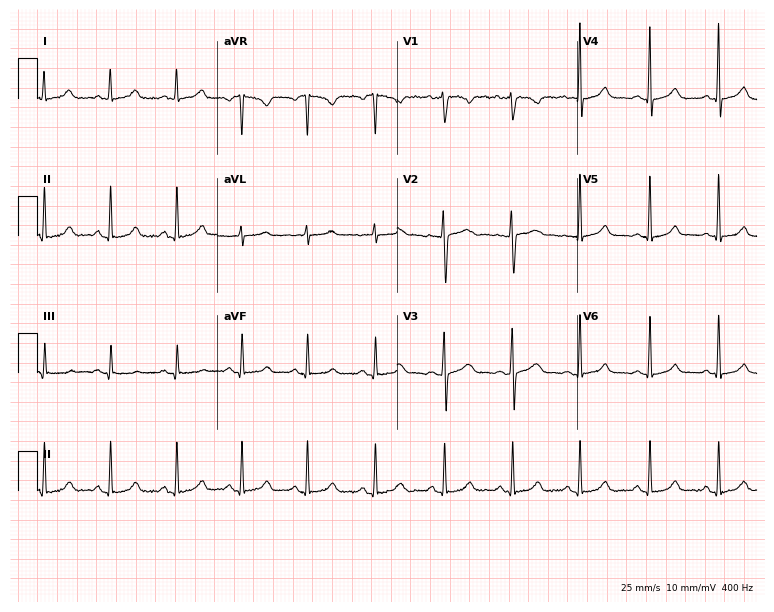
Resting 12-lead electrocardiogram. Patient: a woman, 31 years old. Read as a normal ECG.